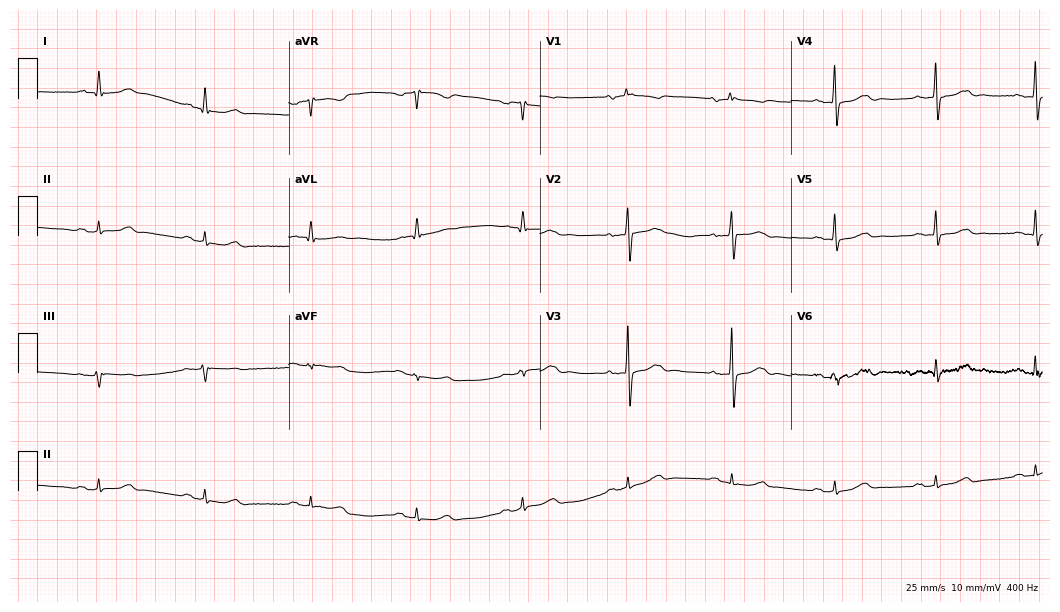
Electrocardiogram, a 74-year-old man. Overall reading on record: normal ECG.